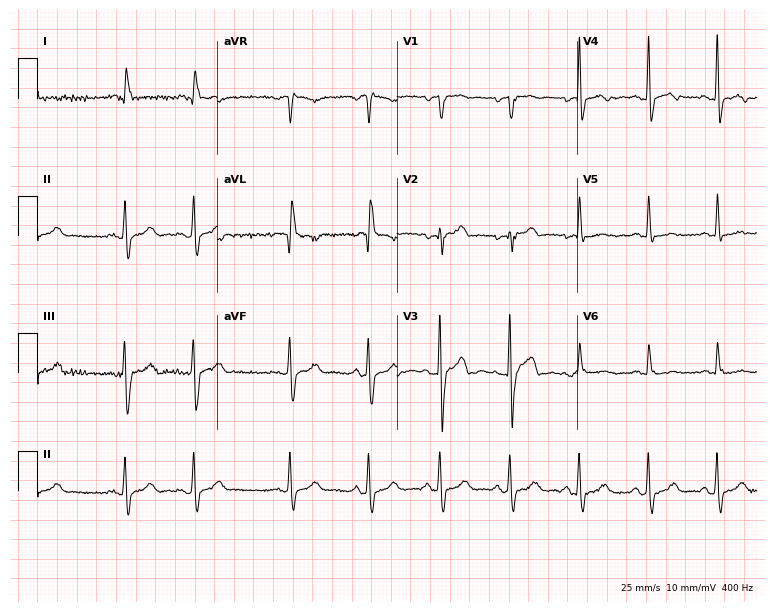
12-lead ECG from a 79-year-old female patient. Recorded interpretation: within normal limits.